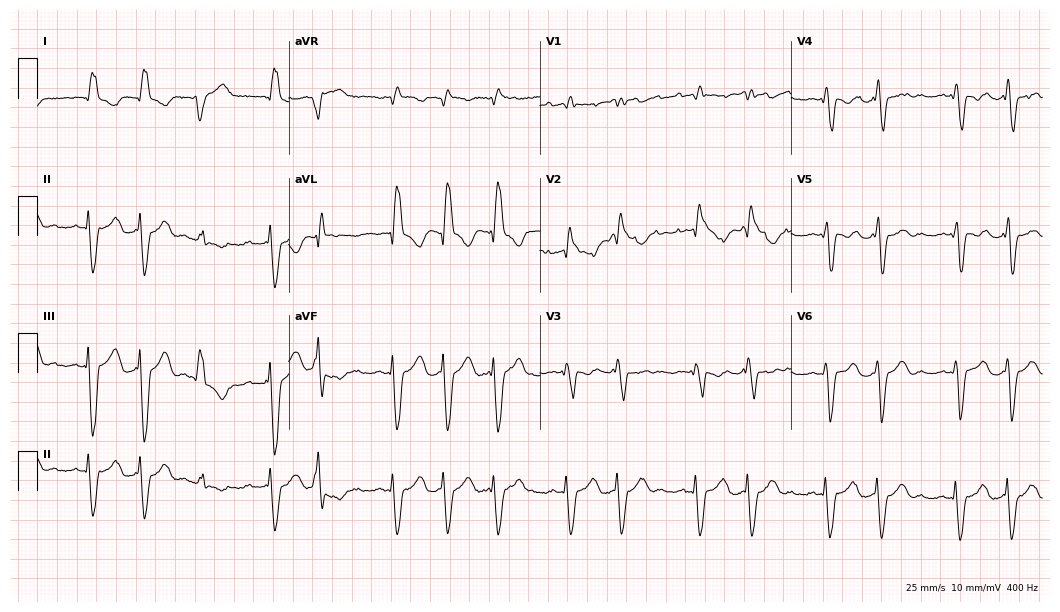
12-lead ECG from a 44-year-old female patient (10.2-second recording at 400 Hz). No first-degree AV block, right bundle branch block, left bundle branch block, sinus bradycardia, atrial fibrillation or sinus tachycardia recorded for this tracing.